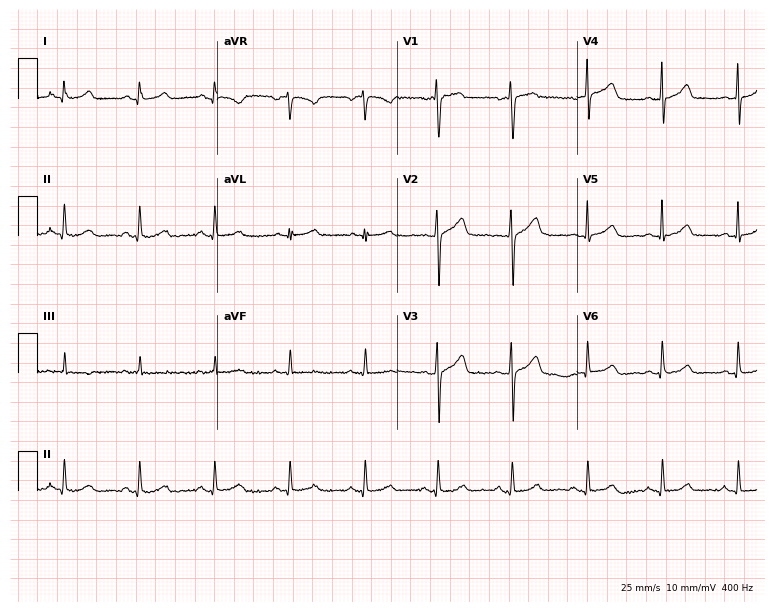
Standard 12-lead ECG recorded from a 38-year-old female (7.3-second recording at 400 Hz). Read as a normal ECG.